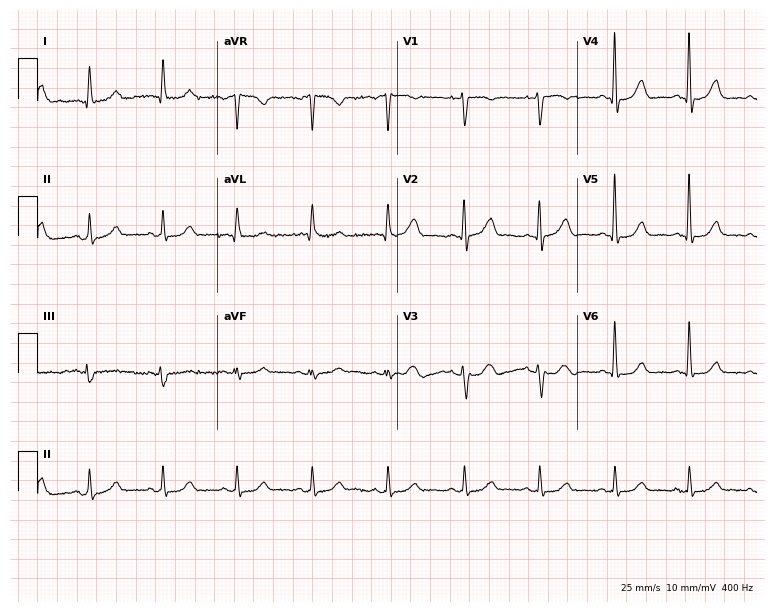
ECG — a female, 53 years old. Labelled as a normal ECG.